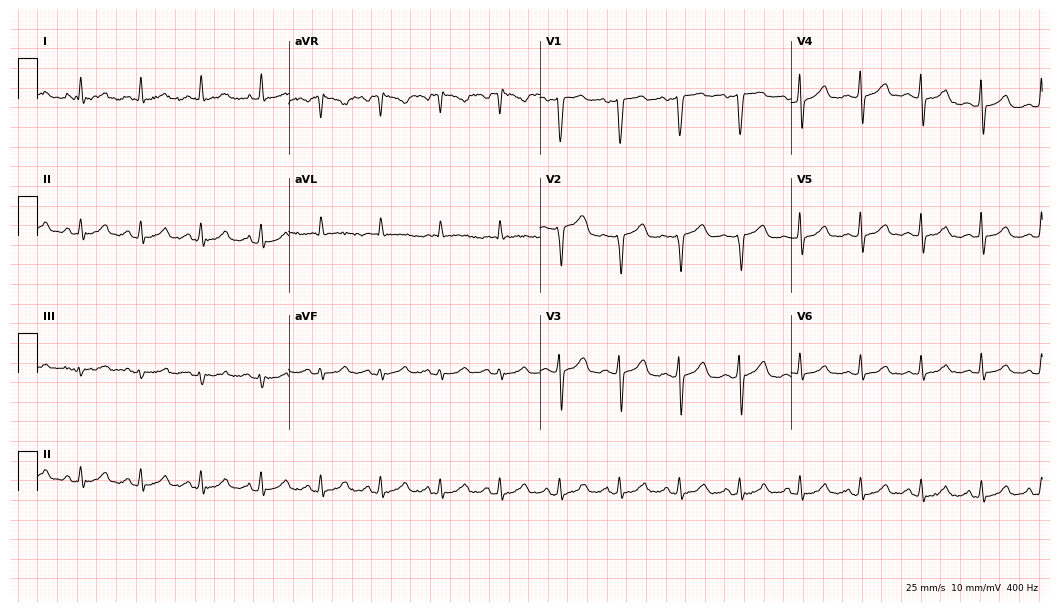
12-lead ECG from a female patient, 41 years old. Recorded interpretation: within normal limits.